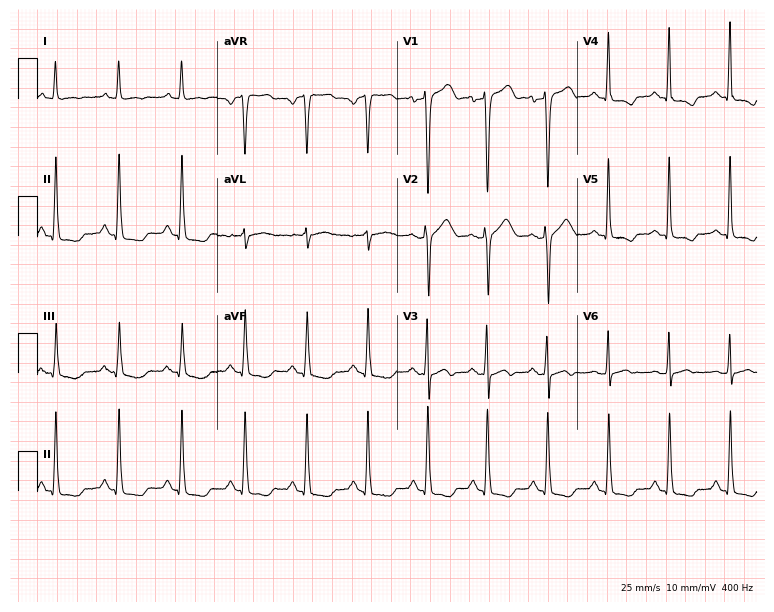
Standard 12-lead ECG recorded from a male, 51 years old (7.3-second recording at 400 Hz). None of these six findings is recorded: first-degree AV block, right bundle branch block (RBBB), left bundle branch block (LBBB), sinus bradycardia, atrial fibrillation (AF), sinus tachycardia. Findings outside these six are not listed.